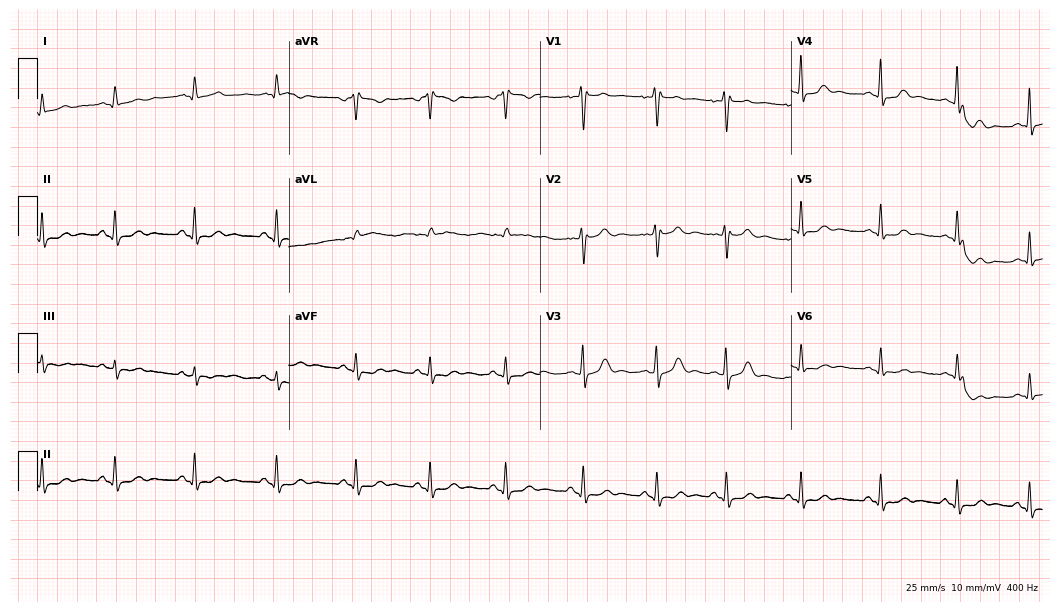
Standard 12-lead ECG recorded from a woman, 26 years old. None of these six findings is recorded: first-degree AV block, right bundle branch block (RBBB), left bundle branch block (LBBB), sinus bradycardia, atrial fibrillation (AF), sinus tachycardia. Only these six findings were labelled.